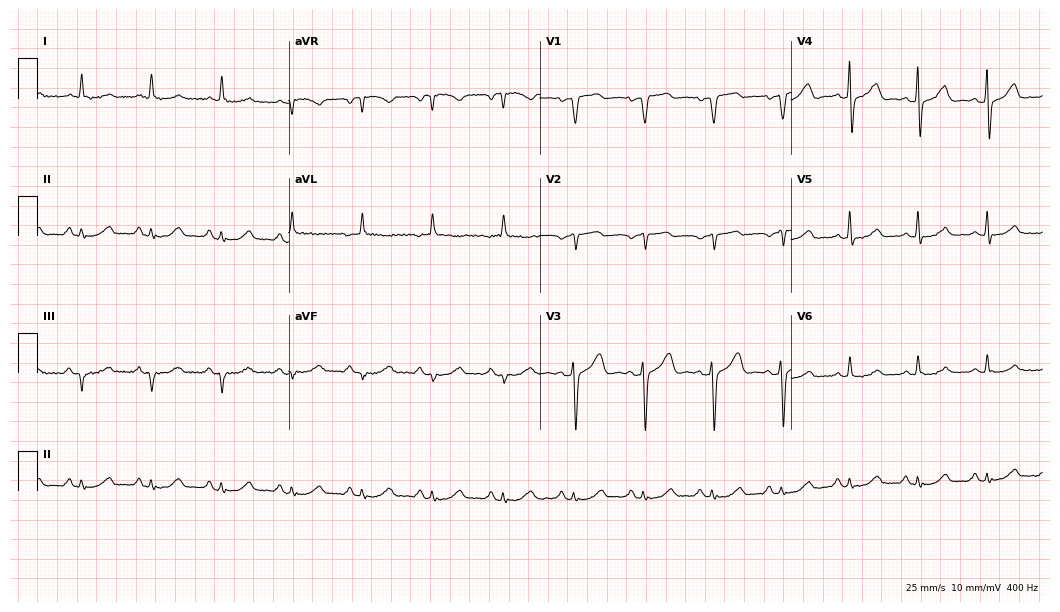
Resting 12-lead electrocardiogram (10.2-second recording at 400 Hz). Patient: a woman, 56 years old. Read as a normal ECG.